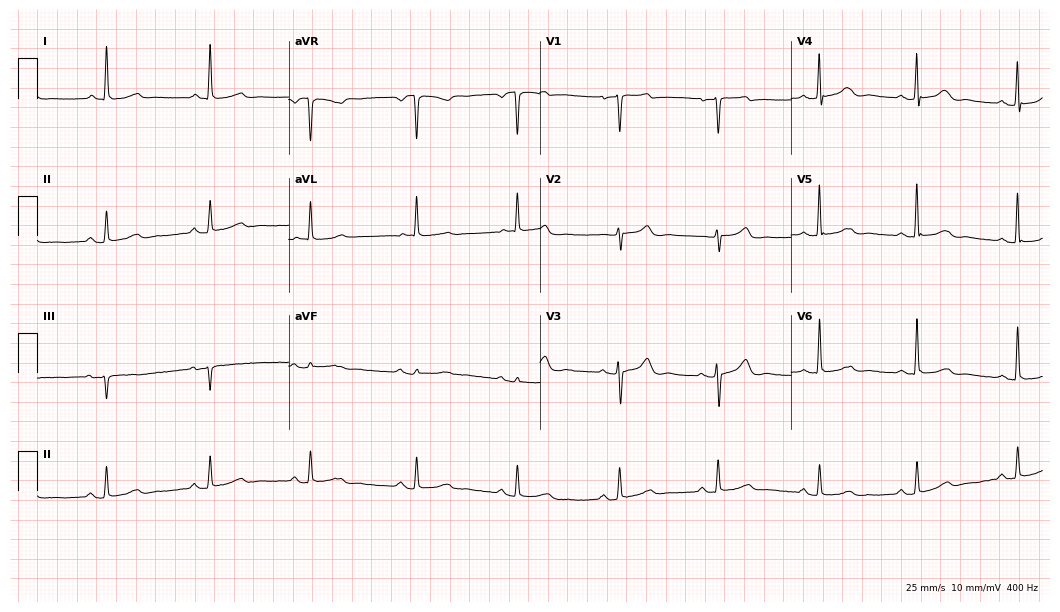
Standard 12-lead ECG recorded from a 66-year-old woman. None of these six findings is recorded: first-degree AV block, right bundle branch block (RBBB), left bundle branch block (LBBB), sinus bradycardia, atrial fibrillation (AF), sinus tachycardia.